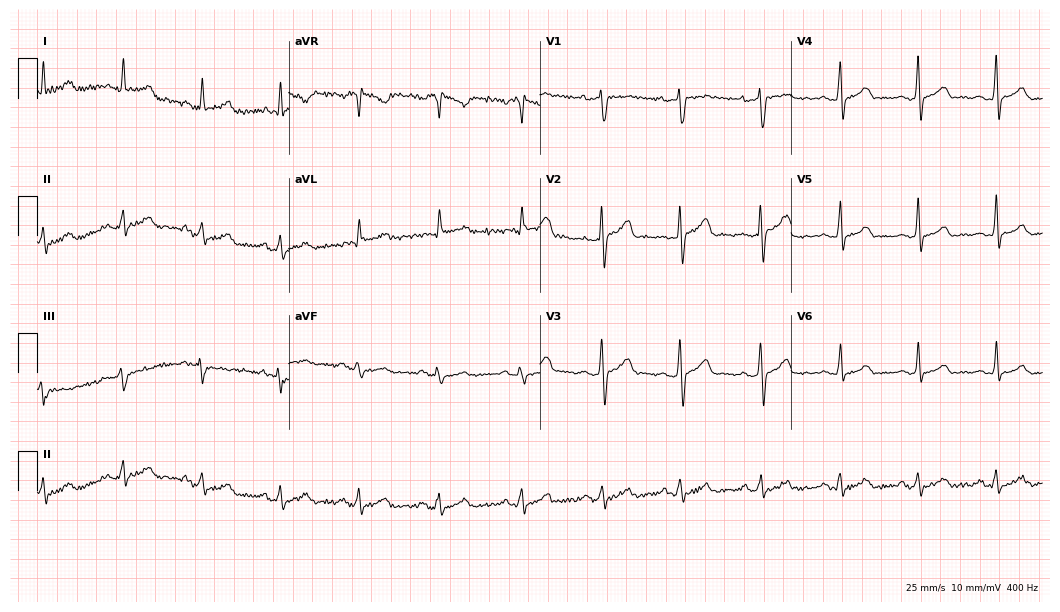
Electrocardiogram, a 27-year-old male. Of the six screened findings (first-degree AV block, right bundle branch block (RBBB), left bundle branch block (LBBB), sinus bradycardia, atrial fibrillation (AF), sinus tachycardia), none is recorded. Other findings, if any, are not listed.